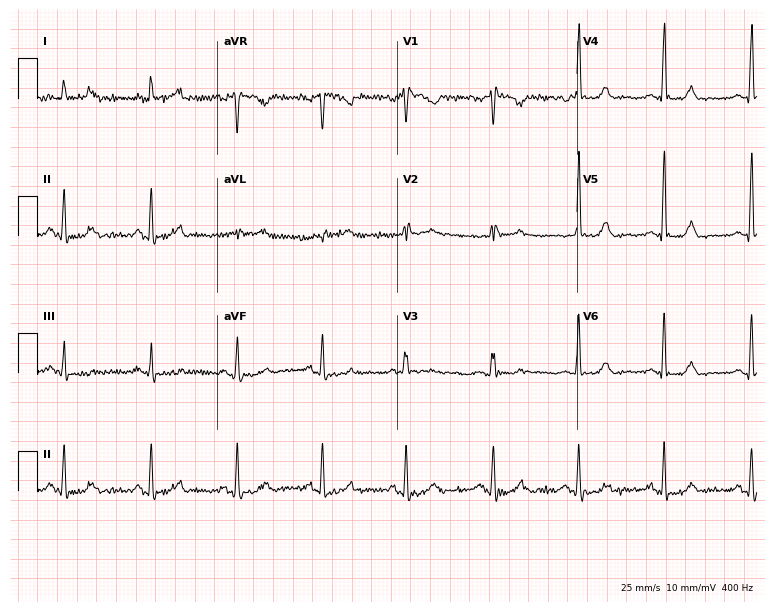
Resting 12-lead electrocardiogram (7.3-second recording at 400 Hz). Patient: a 58-year-old female. Read as a normal ECG.